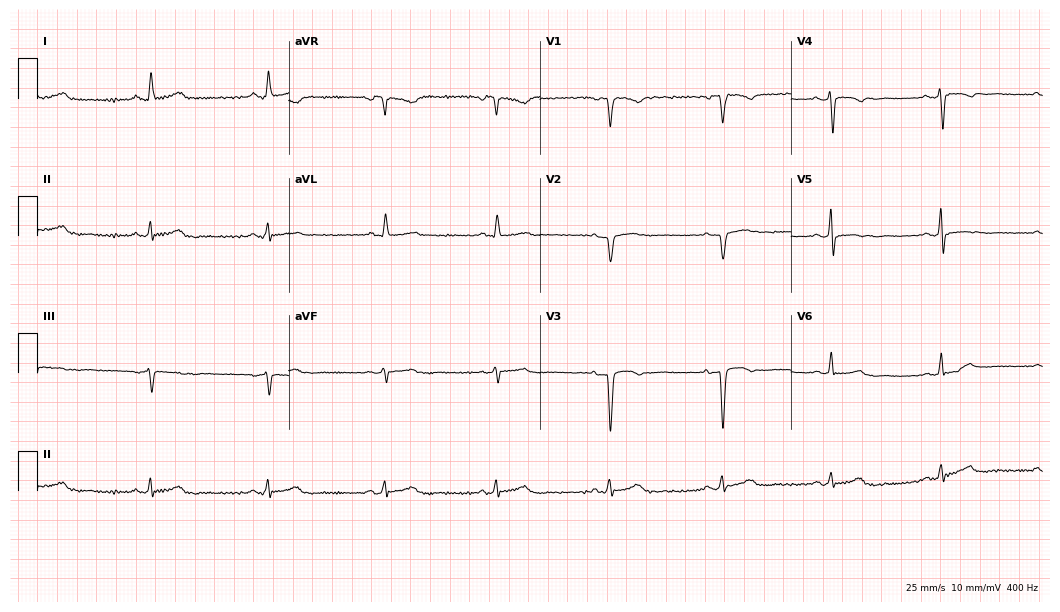
Standard 12-lead ECG recorded from a female patient, 51 years old. None of these six findings is recorded: first-degree AV block, right bundle branch block, left bundle branch block, sinus bradycardia, atrial fibrillation, sinus tachycardia. Only these six findings were labelled.